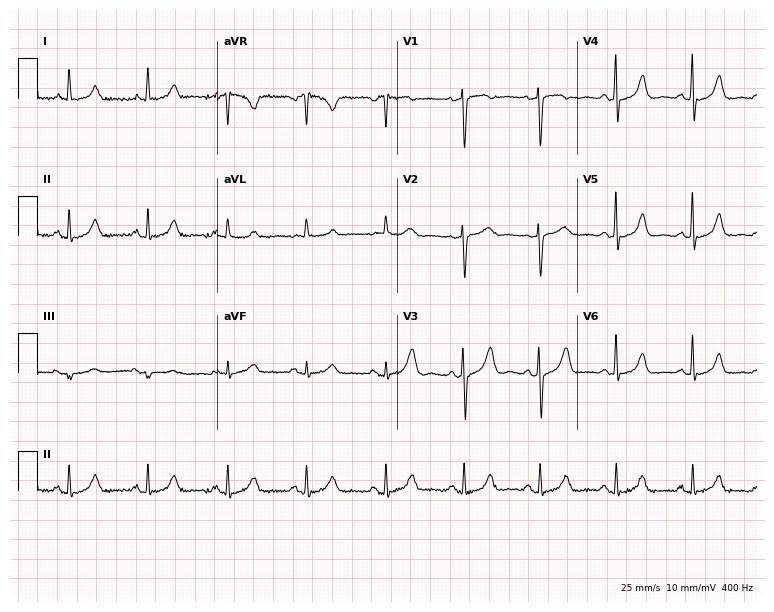
Electrocardiogram, a female, 59 years old. Overall reading on record: normal ECG.